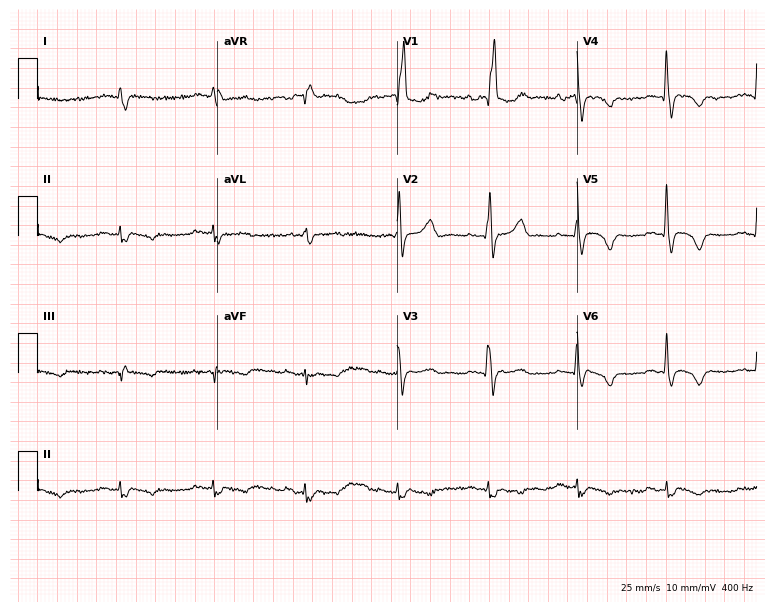
12-lead ECG from a 74-year-old male patient. Findings include right bundle branch block.